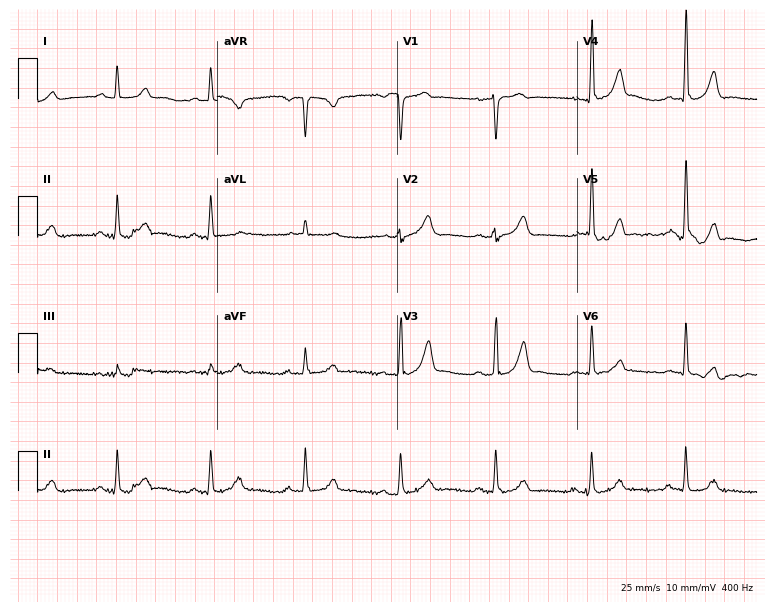
12-lead ECG from a male patient, 61 years old. Recorded interpretation: within normal limits.